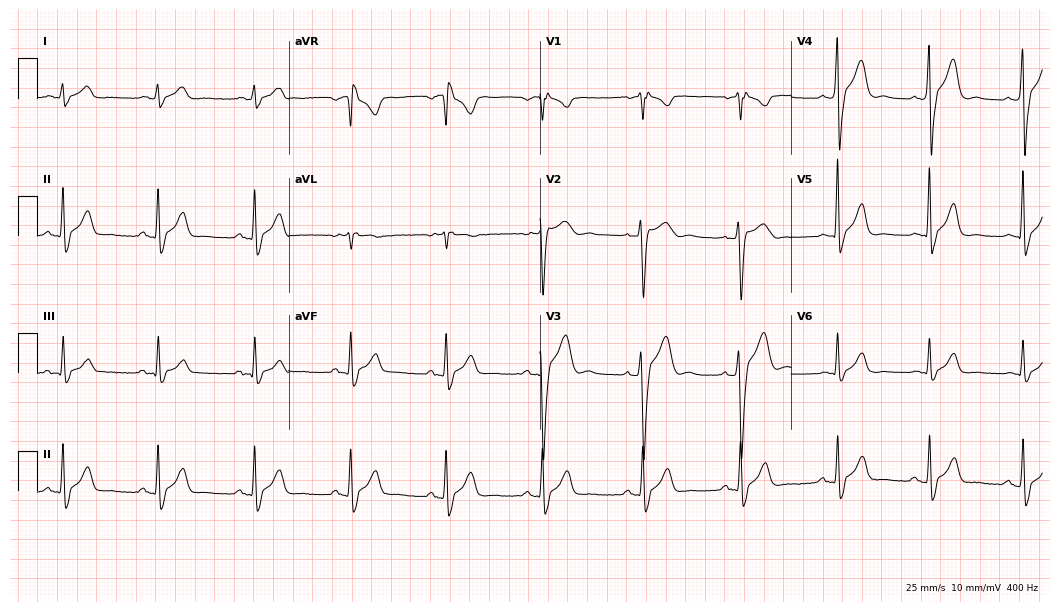
Resting 12-lead electrocardiogram. Patient: a 25-year-old male. None of these six findings is recorded: first-degree AV block, right bundle branch block, left bundle branch block, sinus bradycardia, atrial fibrillation, sinus tachycardia.